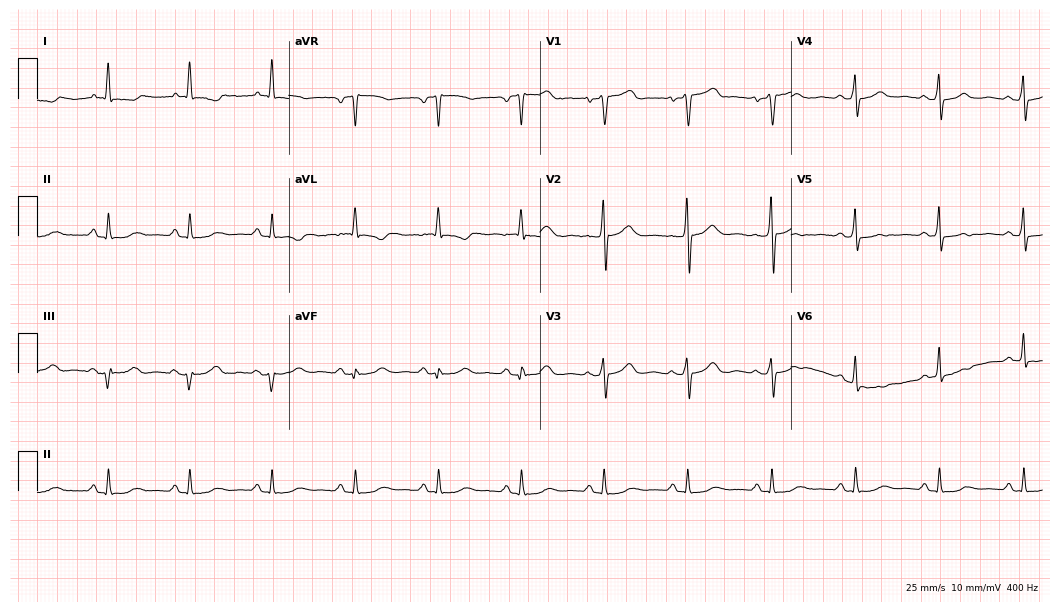
ECG — a 68-year-old female. Screened for six findings — first-degree AV block, right bundle branch block (RBBB), left bundle branch block (LBBB), sinus bradycardia, atrial fibrillation (AF), sinus tachycardia — none is recorded. Other findings, if any, are not listed.